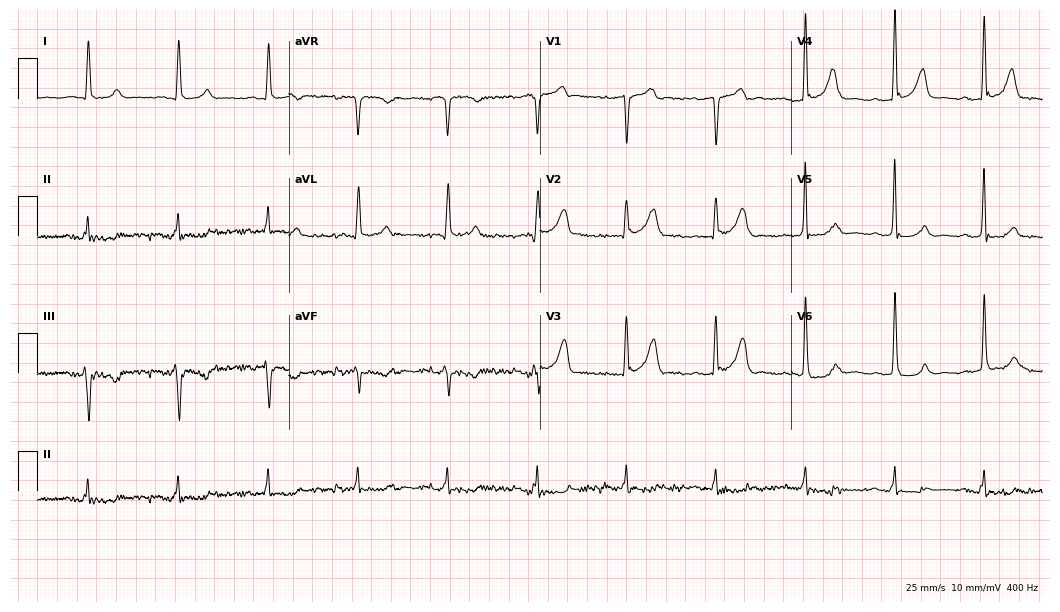
12-lead ECG from a male, 74 years old (10.2-second recording at 400 Hz). No first-degree AV block, right bundle branch block, left bundle branch block, sinus bradycardia, atrial fibrillation or sinus tachycardia recorded for this tracing.